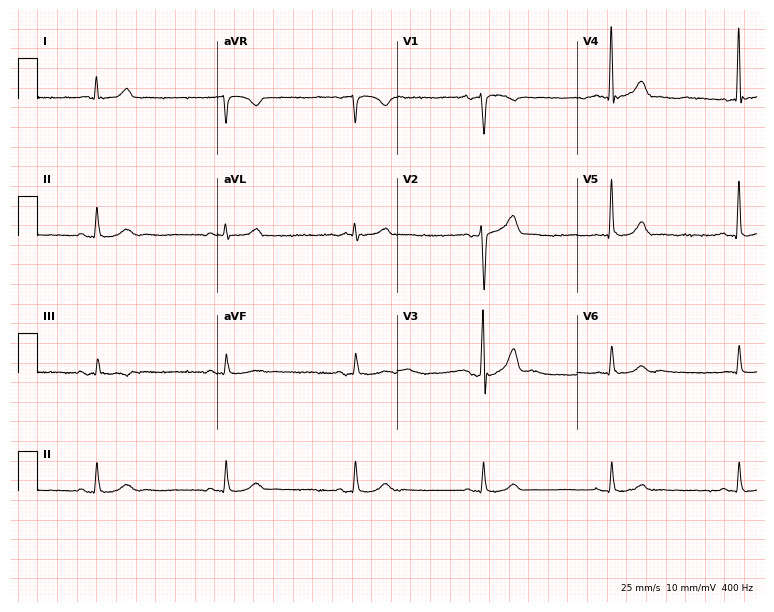
Resting 12-lead electrocardiogram (7.3-second recording at 400 Hz). Patient: a 76-year-old male. Read as a normal ECG.